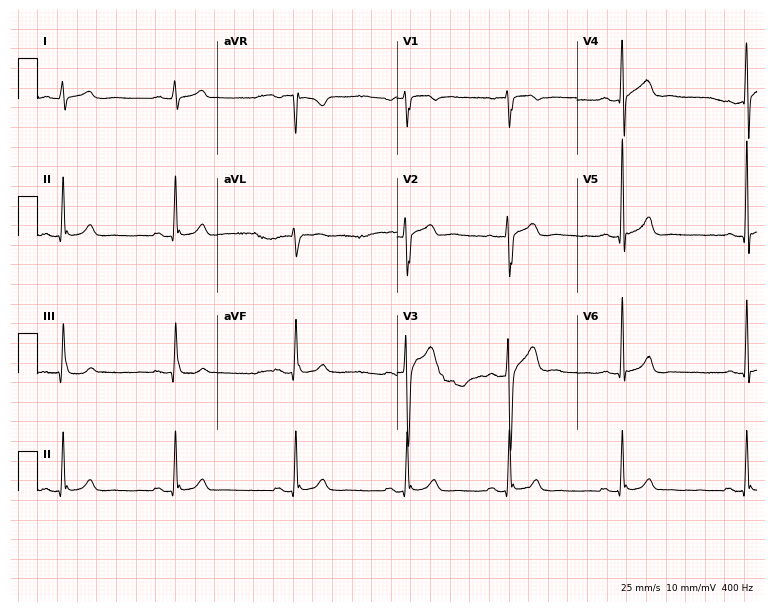
Standard 12-lead ECG recorded from a male patient, 31 years old (7.3-second recording at 400 Hz). None of these six findings is recorded: first-degree AV block, right bundle branch block, left bundle branch block, sinus bradycardia, atrial fibrillation, sinus tachycardia. Only these six findings were labelled.